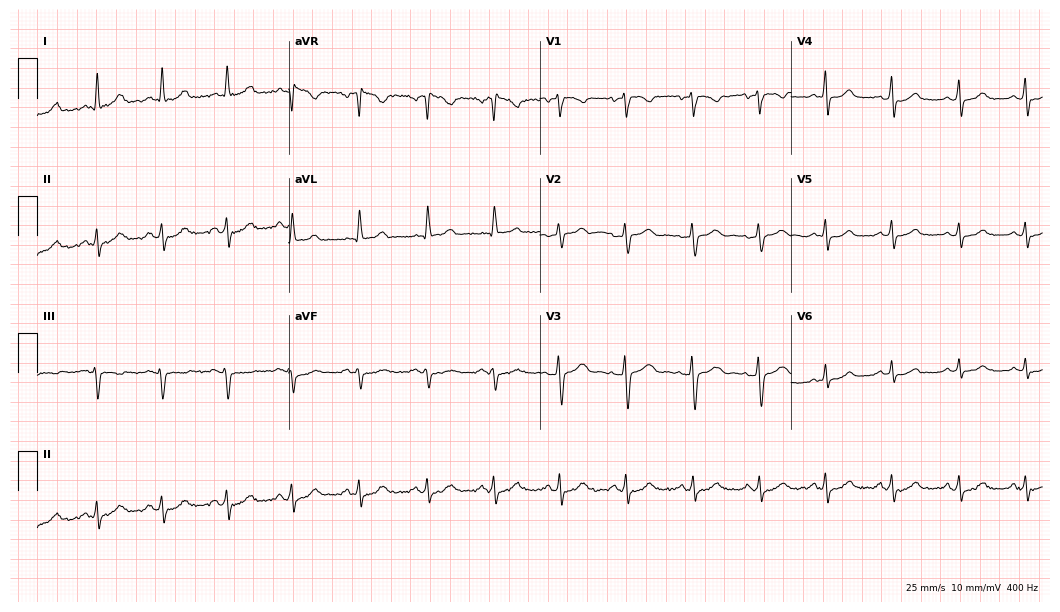
Resting 12-lead electrocardiogram. Patient: a 29-year-old female. Read as a normal ECG.